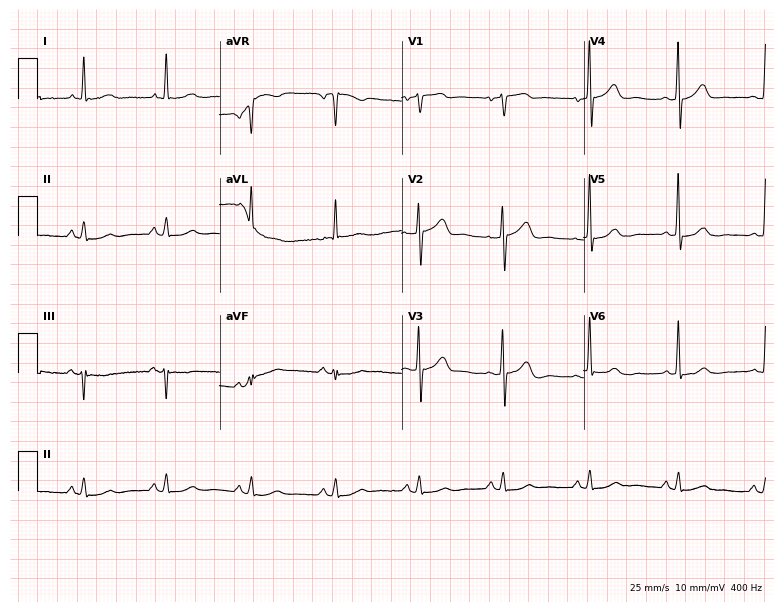
Electrocardiogram, a 66-year-old woman. Overall reading on record: normal ECG.